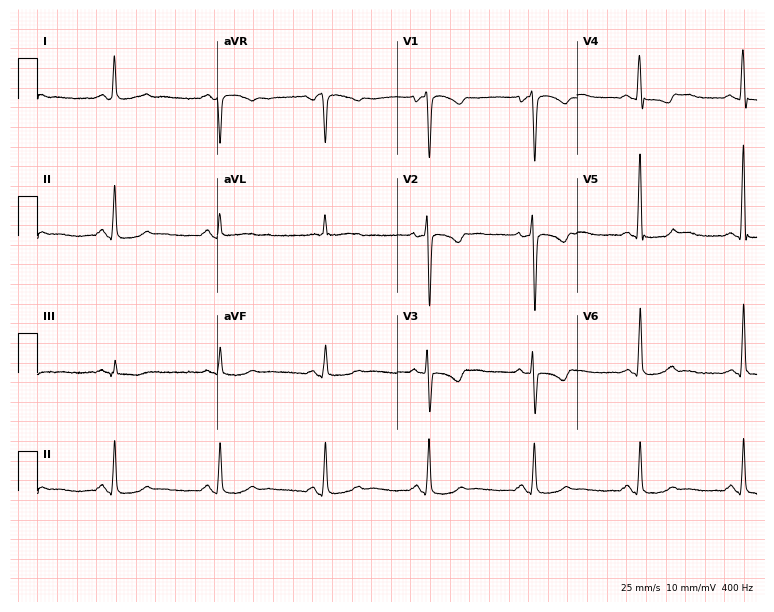
Electrocardiogram (7.3-second recording at 400 Hz), a female, 56 years old. Of the six screened findings (first-degree AV block, right bundle branch block (RBBB), left bundle branch block (LBBB), sinus bradycardia, atrial fibrillation (AF), sinus tachycardia), none is recorded. Findings outside these six are not listed.